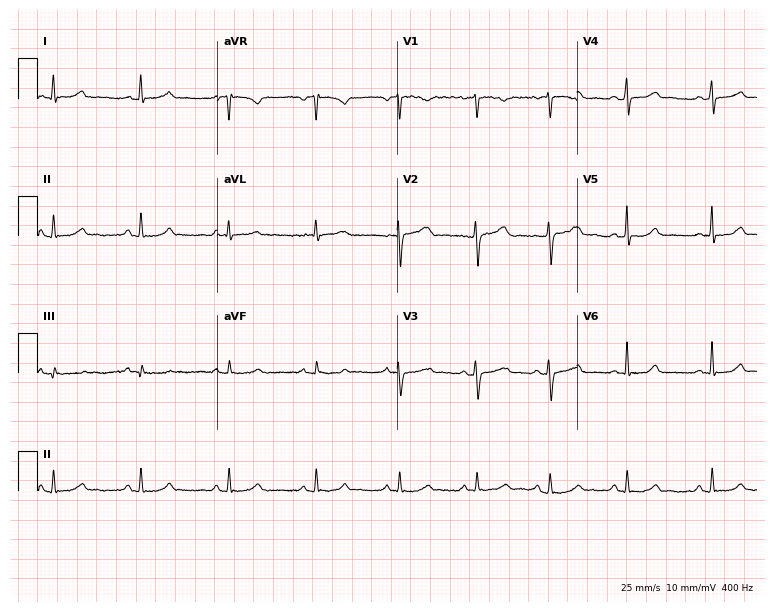
12-lead ECG from a 33-year-old female patient. Recorded interpretation: within normal limits.